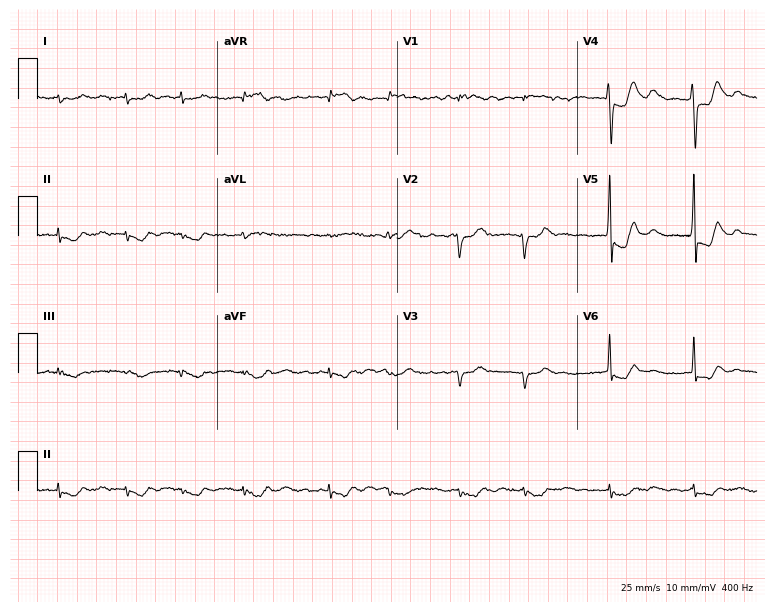
ECG (7.3-second recording at 400 Hz) — a woman, 77 years old. Findings include atrial fibrillation.